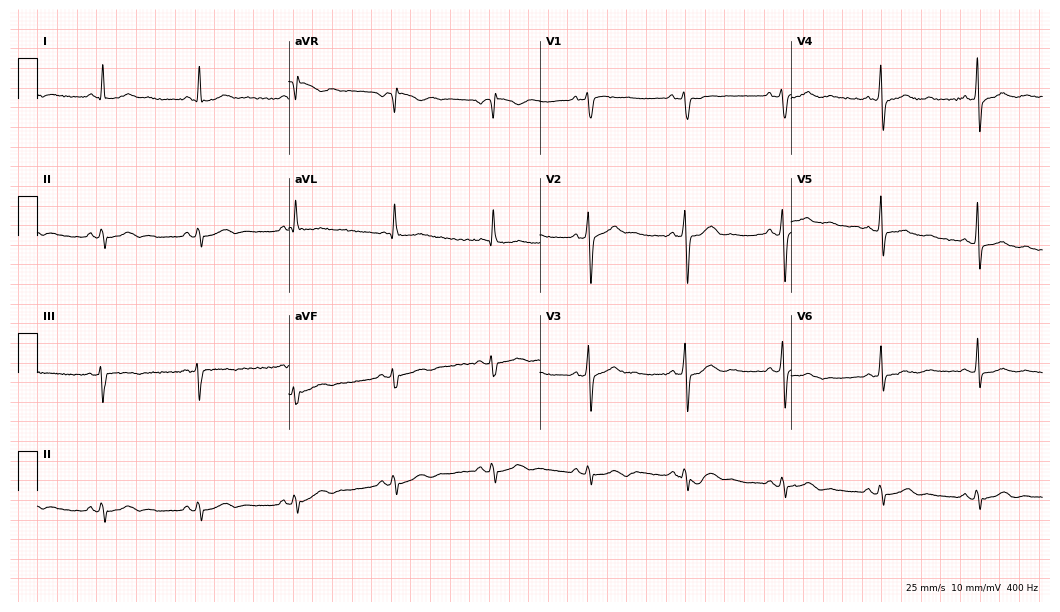
Standard 12-lead ECG recorded from a male patient, 52 years old. None of these six findings is recorded: first-degree AV block, right bundle branch block, left bundle branch block, sinus bradycardia, atrial fibrillation, sinus tachycardia.